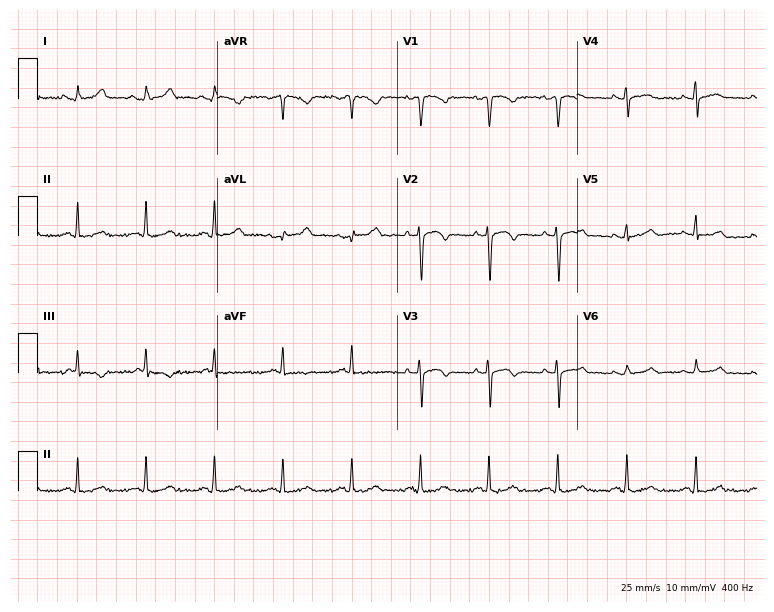
Resting 12-lead electrocardiogram (7.3-second recording at 400 Hz). Patient: a female, 79 years old. None of these six findings is recorded: first-degree AV block, right bundle branch block (RBBB), left bundle branch block (LBBB), sinus bradycardia, atrial fibrillation (AF), sinus tachycardia.